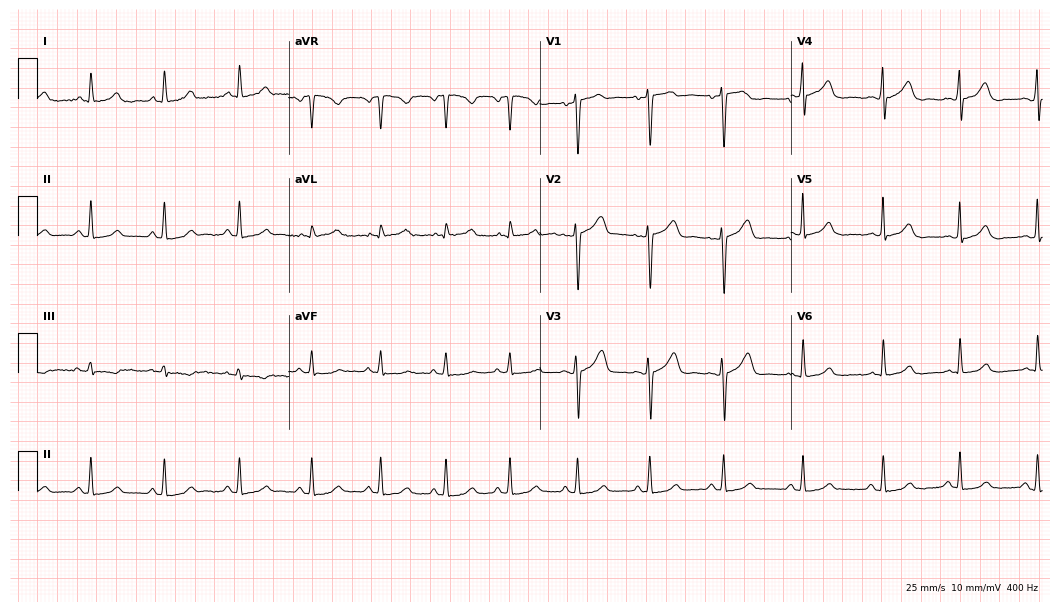
Standard 12-lead ECG recorded from a female patient, 35 years old (10.2-second recording at 400 Hz). None of these six findings is recorded: first-degree AV block, right bundle branch block, left bundle branch block, sinus bradycardia, atrial fibrillation, sinus tachycardia.